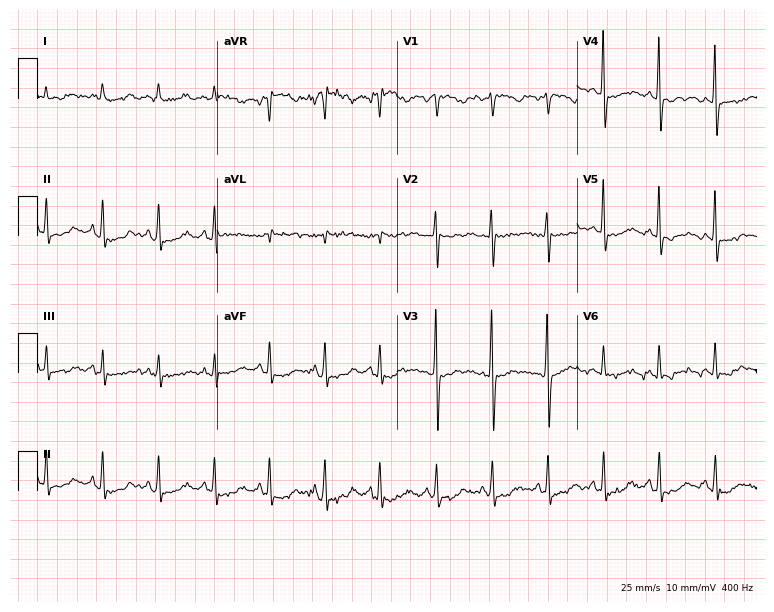
12-lead ECG (7.3-second recording at 400 Hz) from a female patient, 37 years old. Screened for six findings — first-degree AV block, right bundle branch block, left bundle branch block, sinus bradycardia, atrial fibrillation, sinus tachycardia — none is recorded. Findings outside these six are not listed.